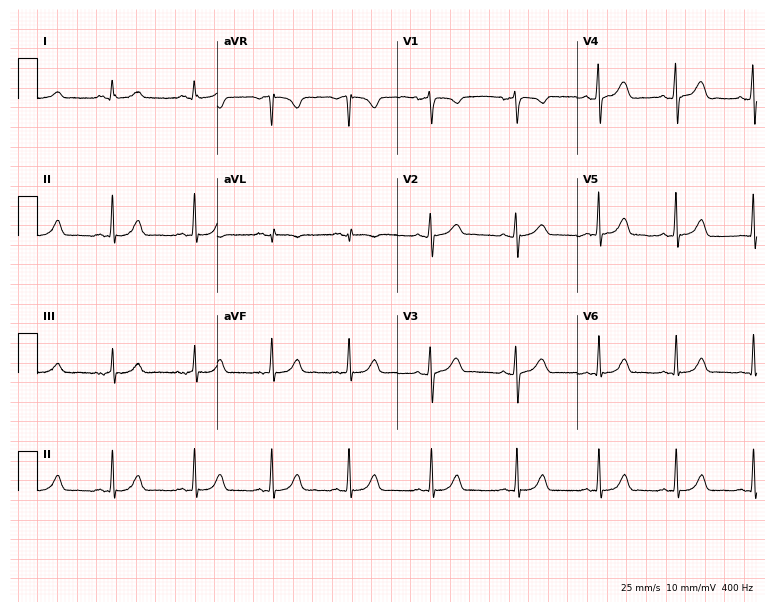
Resting 12-lead electrocardiogram. Patient: a female, 23 years old. None of these six findings is recorded: first-degree AV block, right bundle branch block, left bundle branch block, sinus bradycardia, atrial fibrillation, sinus tachycardia.